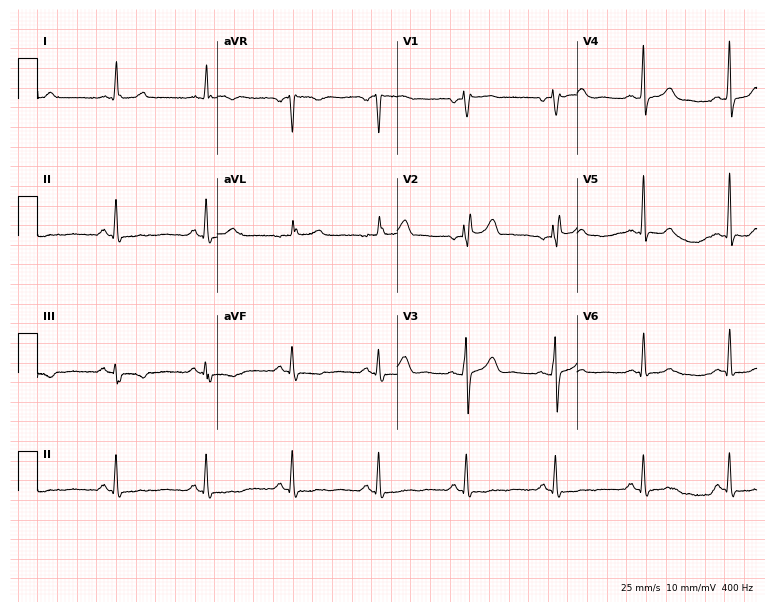
ECG (7.3-second recording at 400 Hz) — a 57-year-old woman. Screened for six findings — first-degree AV block, right bundle branch block (RBBB), left bundle branch block (LBBB), sinus bradycardia, atrial fibrillation (AF), sinus tachycardia — none is recorded.